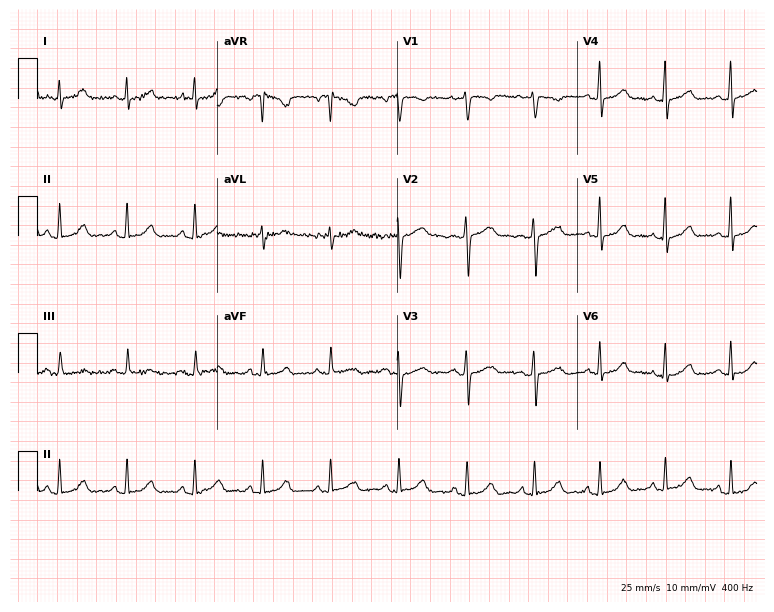
Electrocardiogram, a woman, 36 years old. Of the six screened findings (first-degree AV block, right bundle branch block, left bundle branch block, sinus bradycardia, atrial fibrillation, sinus tachycardia), none is recorded. Other findings, if any, are not listed.